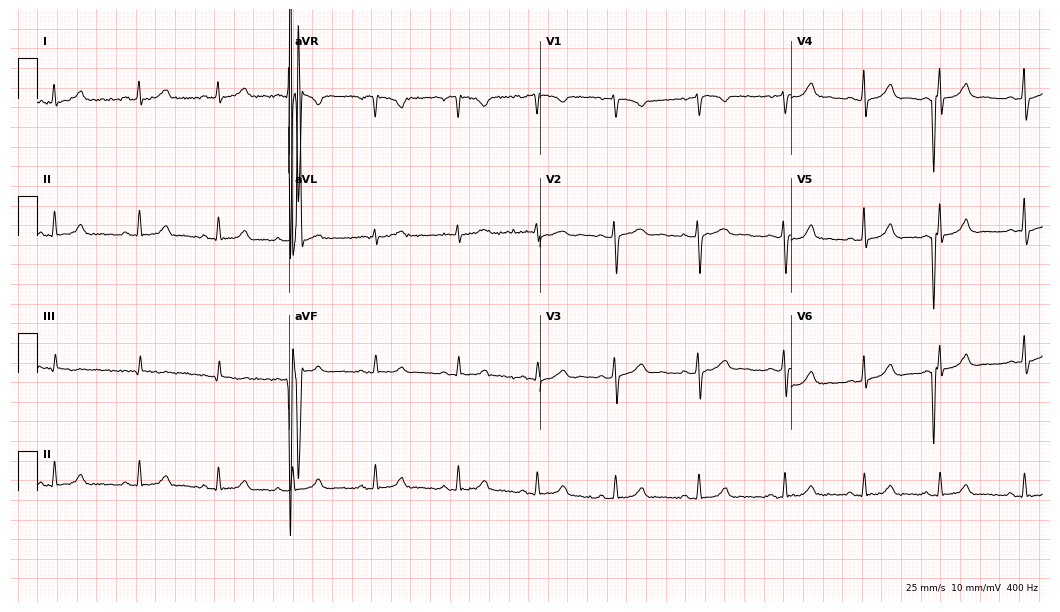
Electrocardiogram, a 31-year-old female patient. Overall reading on record: normal ECG.